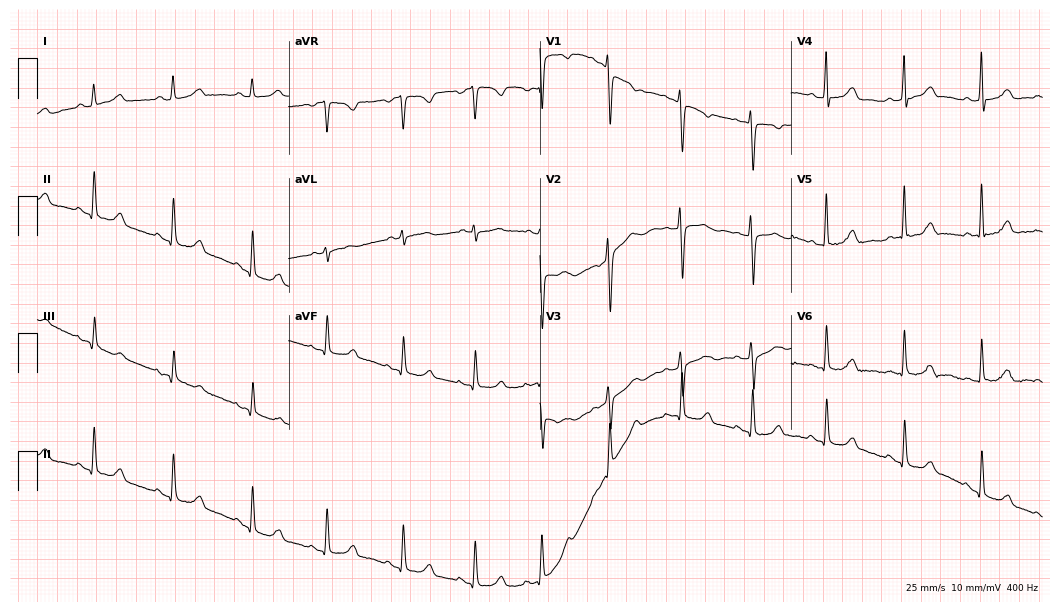
12-lead ECG from a 34-year-old female patient. Labelled as a normal ECG.